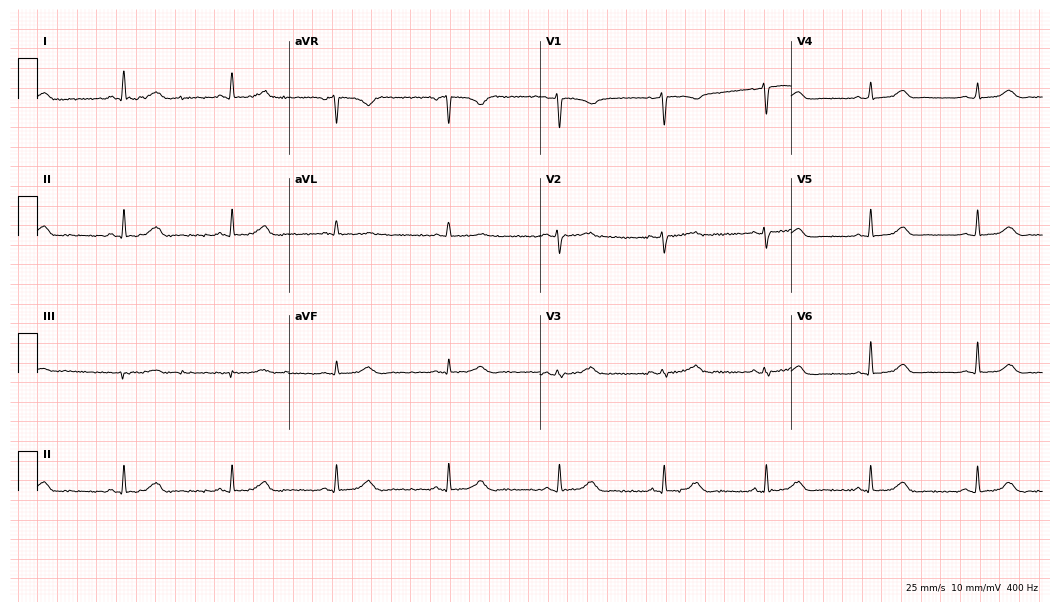
Resting 12-lead electrocardiogram. Patient: a 54-year-old female. Read as a normal ECG.